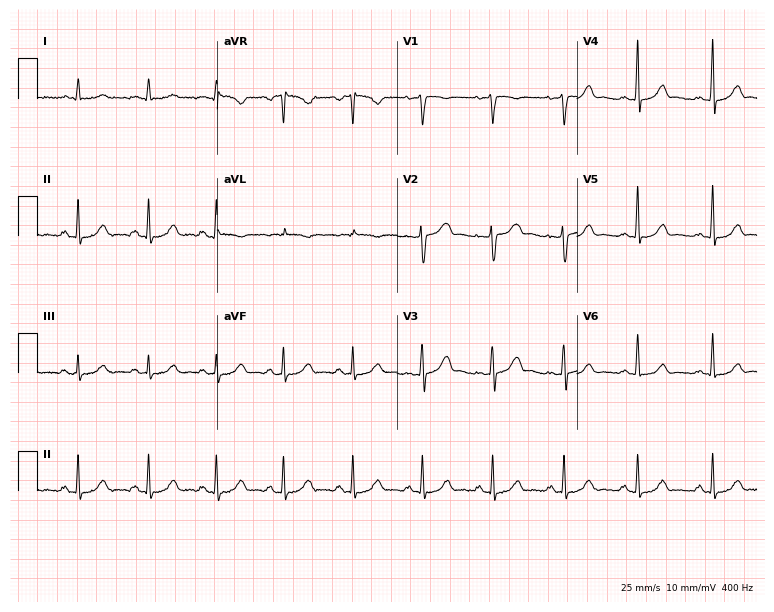
12-lead ECG from a 37-year-old woman (7.3-second recording at 400 Hz). Recorded interpretation: within normal limits.